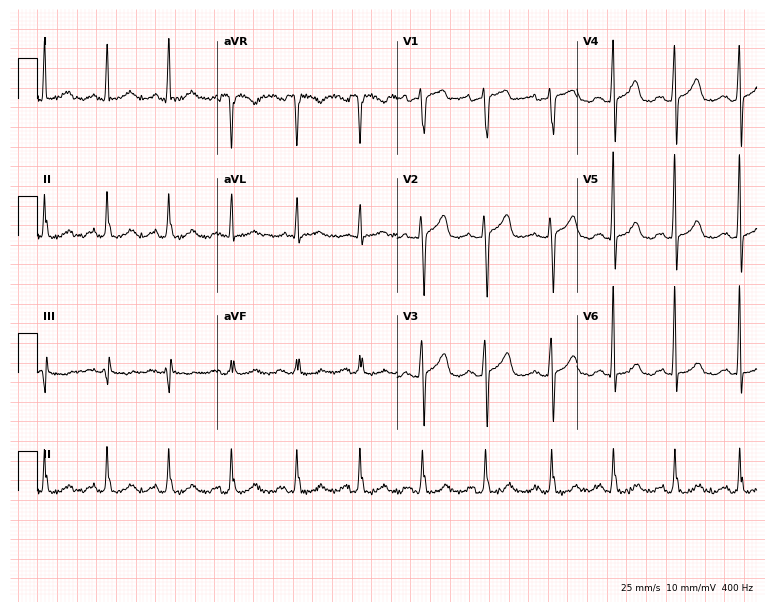
12-lead ECG from a woman, 64 years old (7.3-second recording at 400 Hz). No first-degree AV block, right bundle branch block, left bundle branch block, sinus bradycardia, atrial fibrillation or sinus tachycardia recorded for this tracing.